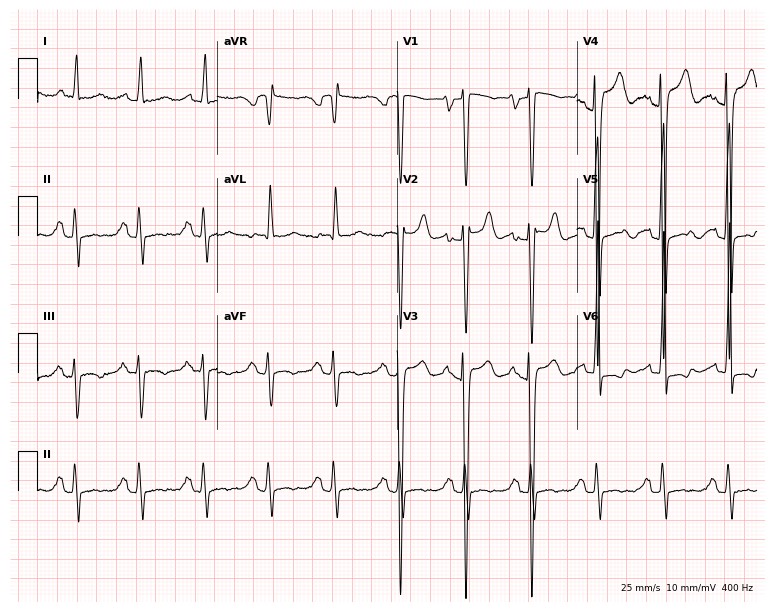
Resting 12-lead electrocardiogram (7.3-second recording at 400 Hz). Patient: a 33-year-old man. None of these six findings is recorded: first-degree AV block, right bundle branch block, left bundle branch block, sinus bradycardia, atrial fibrillation, sinus tachycardia. Only these six findings were labelled.